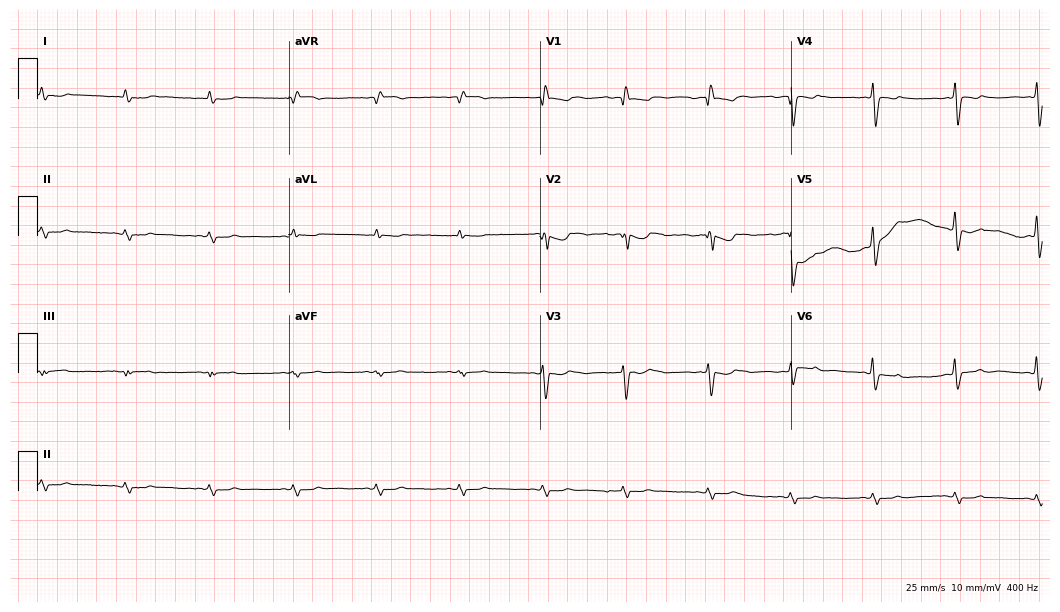
Standard 12-lead ECG recorded from a male, 67 years old. None of these six findings is recorded: first-degree AV block, right bundle branch block, left bundle branch block, sinus bradycardia, atrial fibrillation, sinus tachycardia. Other findings, if any, are not listed.